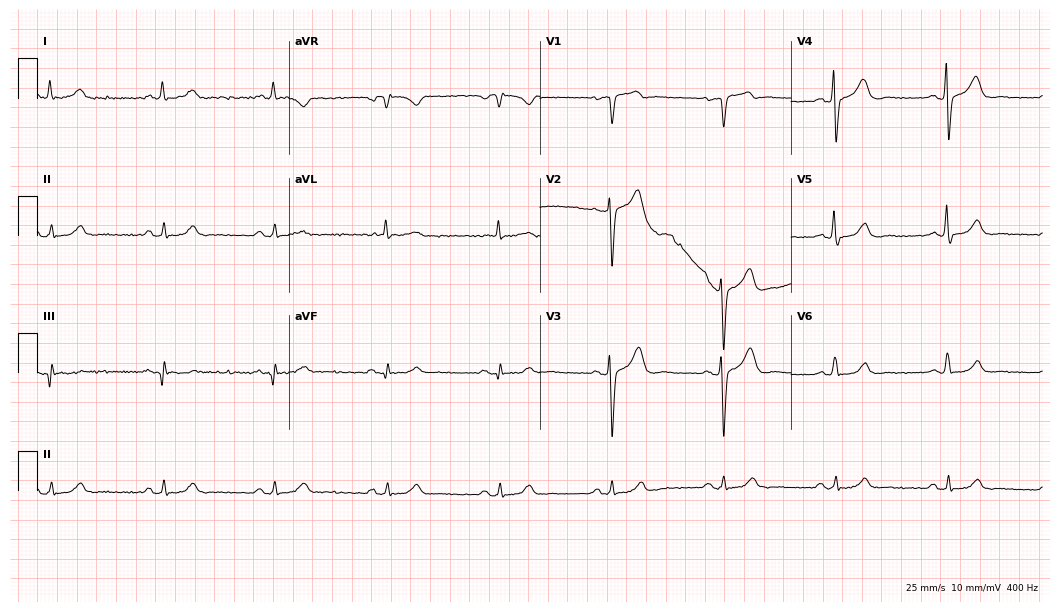
ECG (10.2-second recording at 400 Hz) — a male, 73 years old. Screened for six findings — first-degree AV block, right bundle branch block, left bundle branch block, sinus bradycardia, atrial fibrillation, sinus tachycardia — none is recorded.